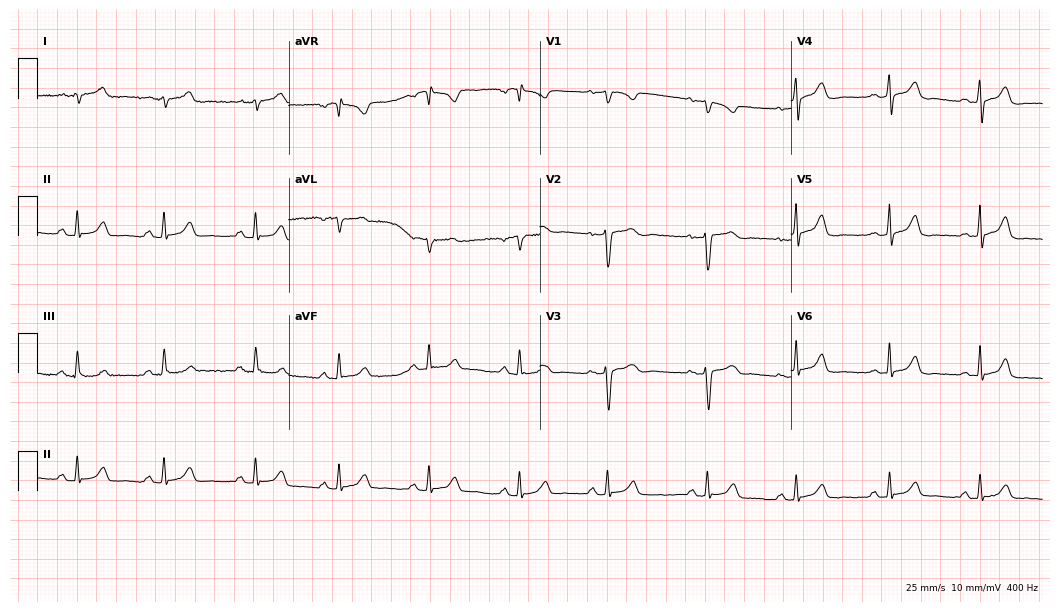
12-lead ECG from a female patient, 29 years old. Labelled as a normal ECG.